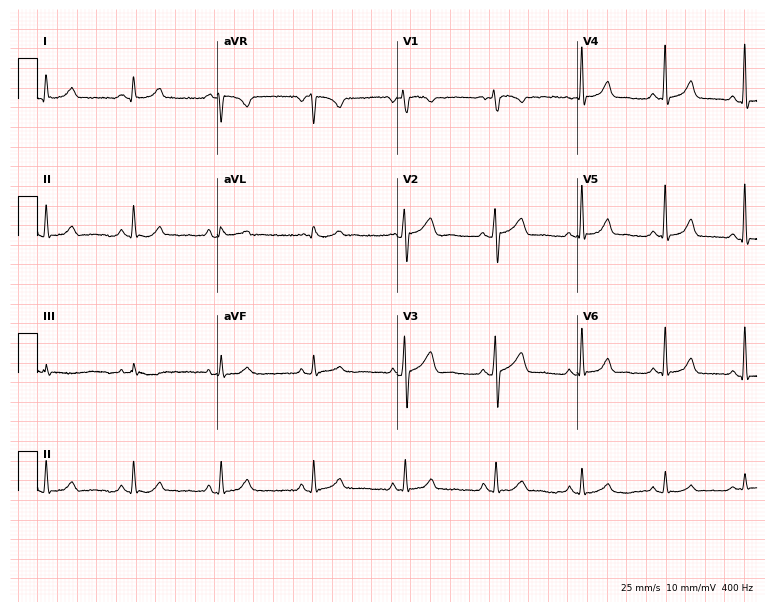
ECG (7.3-second recording at 400 Hz) — a woman, 35 years old. Labelled as a normal ECG.